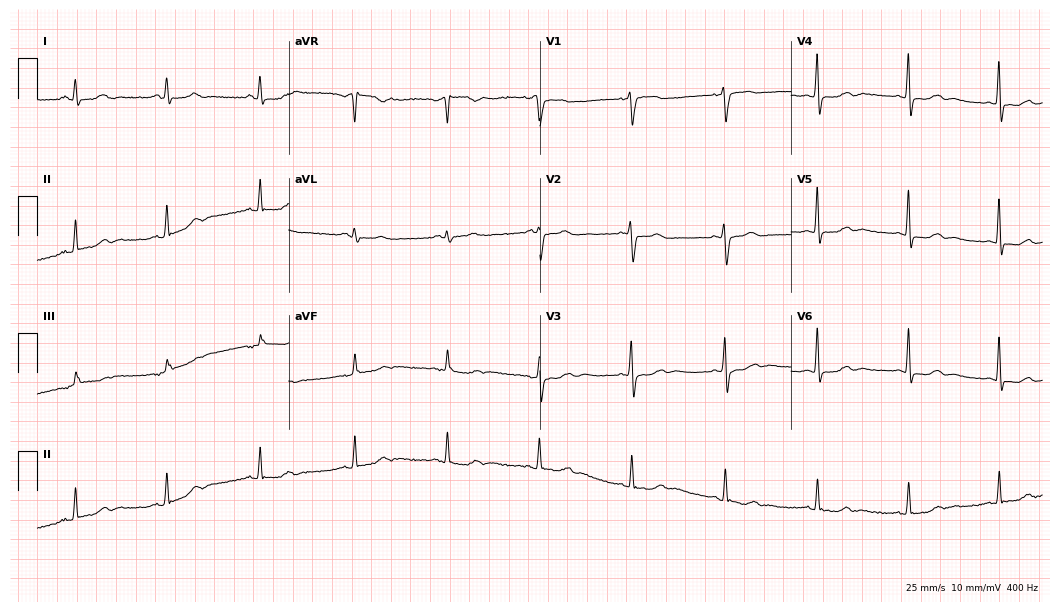
ECG (10.2-second recording at 400 Hz) — a 67-year-old female. Labelled as a normal ECG.